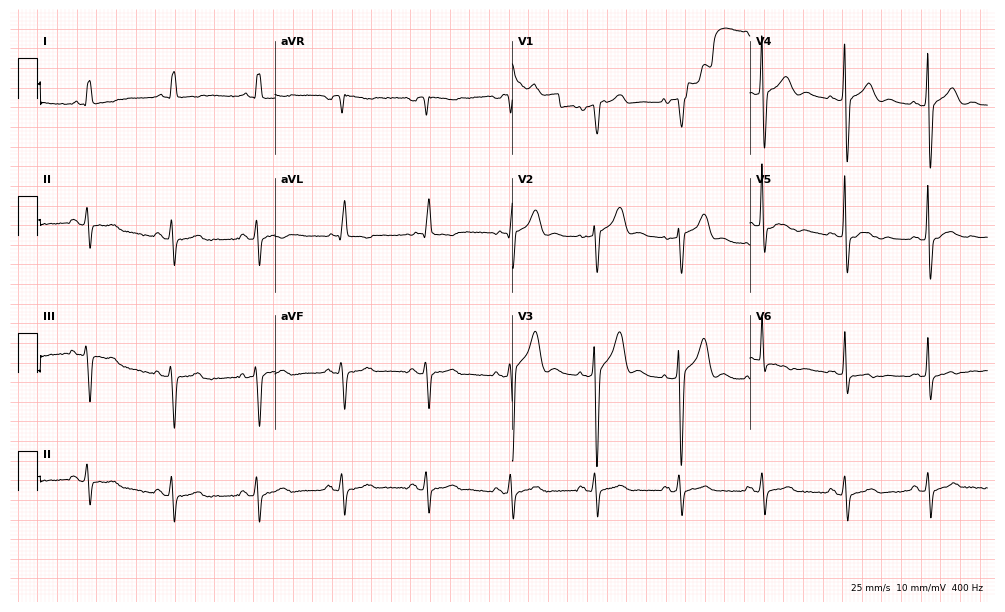
ECG — a 69-year-old male. Screened for six findings — first-degree AV block, right bundle branch block, left bundle branch block, sinus bradycardia, atrial fibrillation, sinus tachycardia — none is recorded.